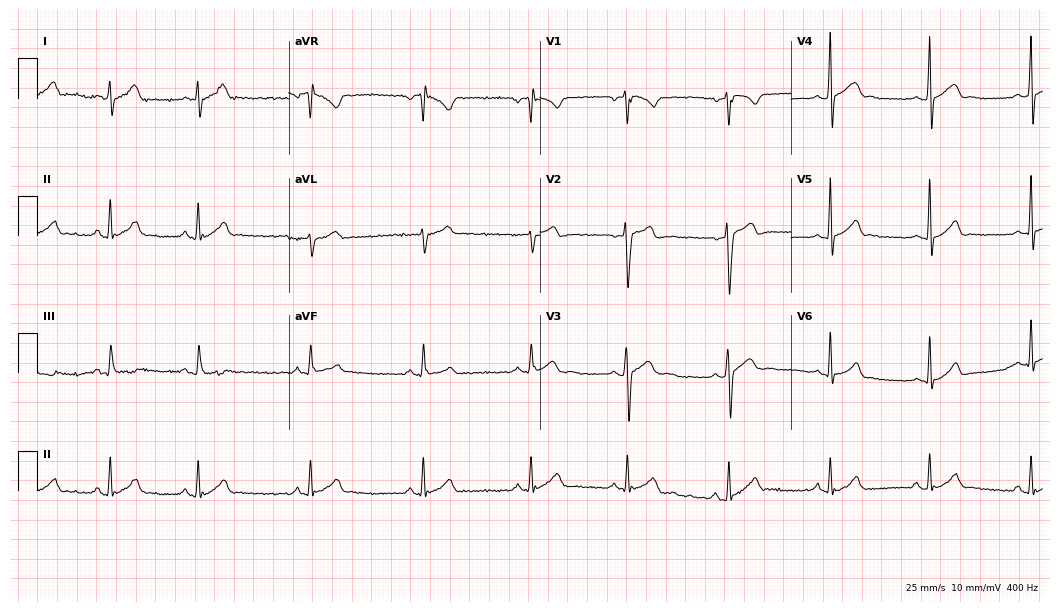
12-lead ECG (10.2-second recording at 400 Hz) from a 20-year-old male patient. Labelled as a normal ECG.